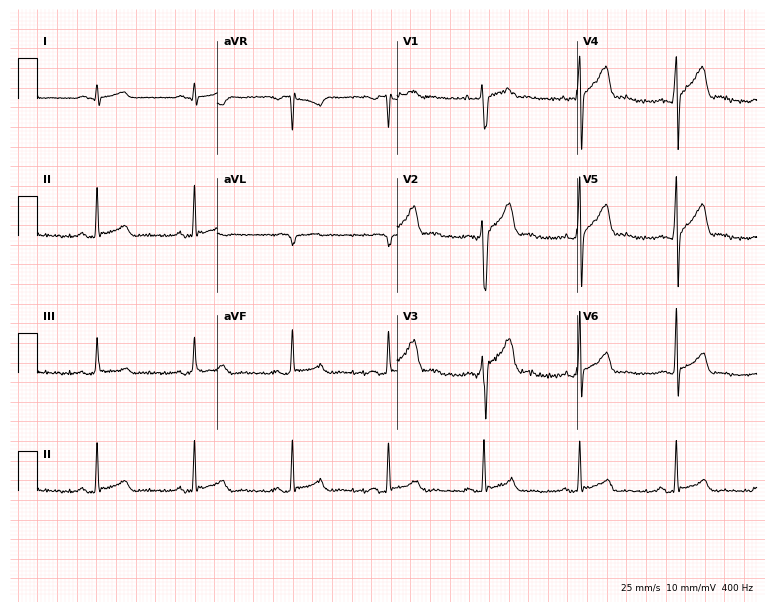
Resting 12-lead electrocardiogram. Patient: a 19-year-old male. None of these six findings is recorded: first-degree AV block, right bundle branch block, left bundle branch block, sinus bradycardia, atrial fibrillation, sinus tachycardia.